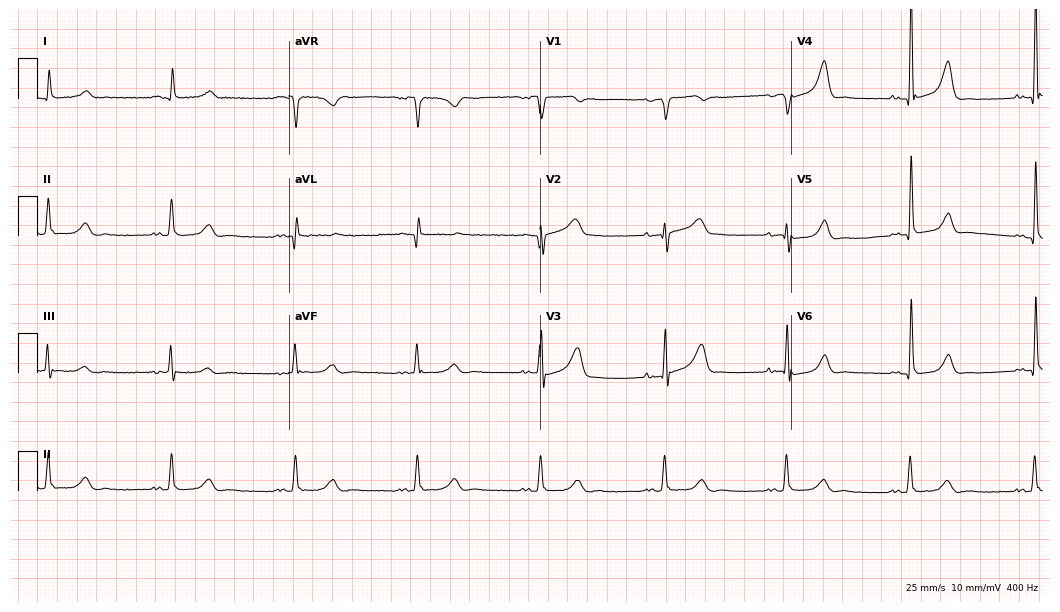
12-lead ECG from a man, 71 years old. Labelled as a normal ECG.